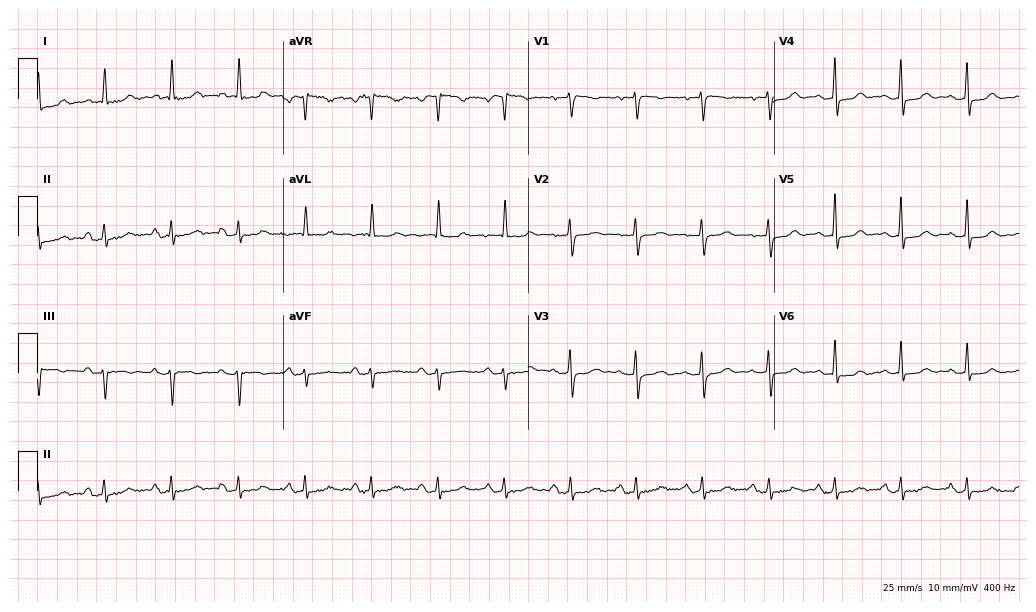
12-lead ECG from an 83-year-old female (10-second recording at 400 Hz). No first-degree AV block, right bundle branch block (RBBB), left bundle branch block (LBBB), sinus bradycardia, atrial fibrillation (AF) or sinus tachycardia recorded for this tracing.